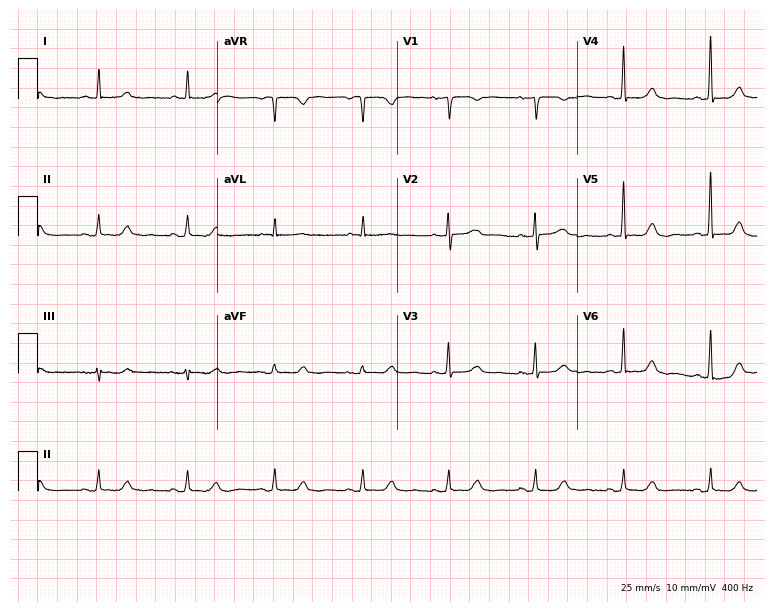
12-lead ECG from a female patient, 77 years old. Recorded interpretation: within normal limits.